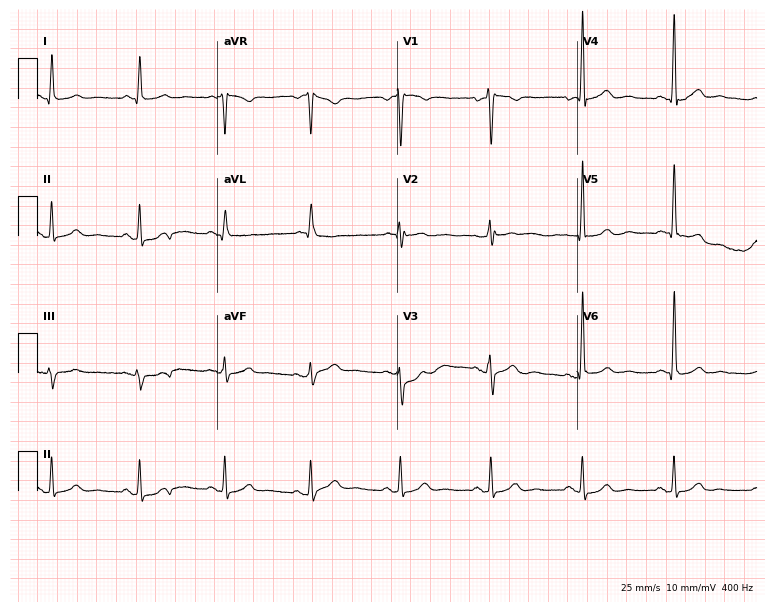
Resting 12-lead electrocardiogram. Patient: a 53-year-old male. None of these six findings is recorded: first-degree AV block, right bundle branch block, left bundle branch block, sinus bradycardia, atrial fibrillation, sinus tachycardia. Findings outside these six are not listed.